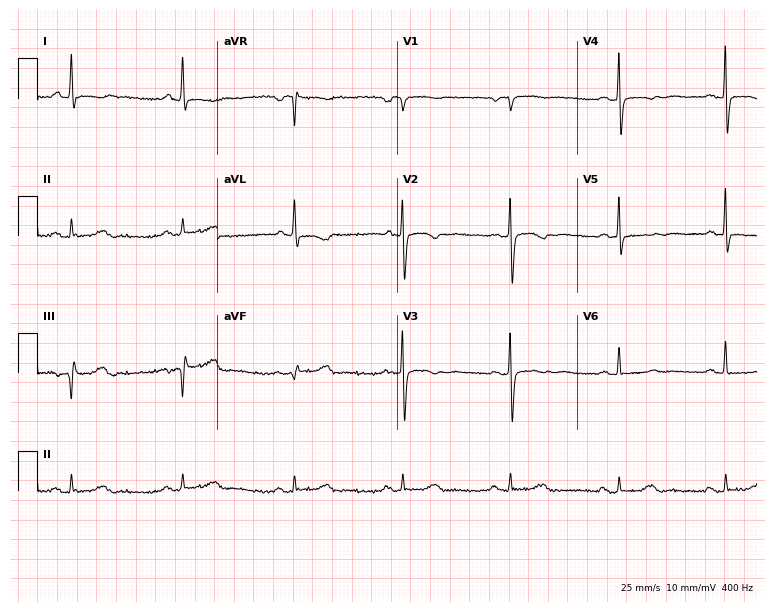
Electrocardiogram (7.3-second recording at 400 Hz), a 73-year-old woman. Of the six screened findings (first-degree AV block, right bundle branch block, left bundle branch block, sinus bradycardia, atrial fibrillation, sinus tachycardia), none is recorded. Only these six findings were labelled.